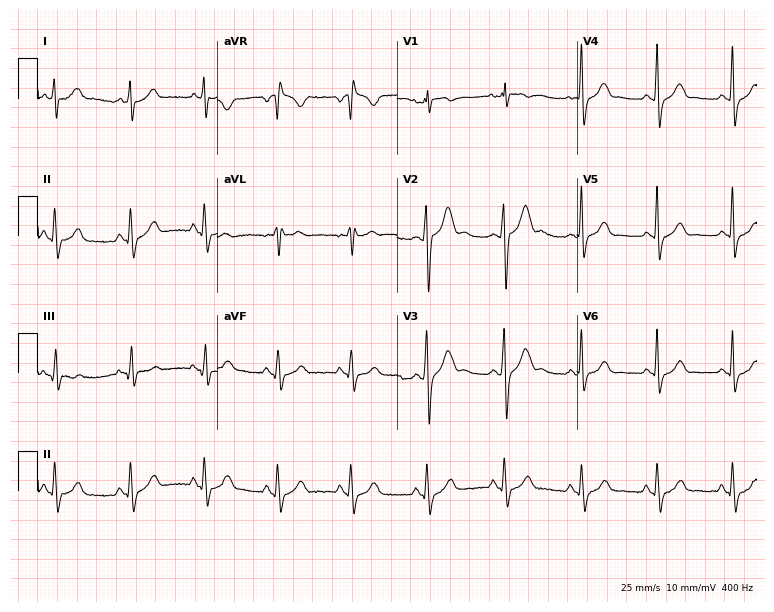
Standard 12-lead ECG recorded from a male, 28 years old (7.3-second recording at 400 Hz). None of these six findings is recorded: first-degree AV block, right bundle branch block (RBBB), left bundle branch block (LBBB), sinus bradycardia, atrial fibrillation (AF), sinus tachycardia. Other findings, if any, are not listed.